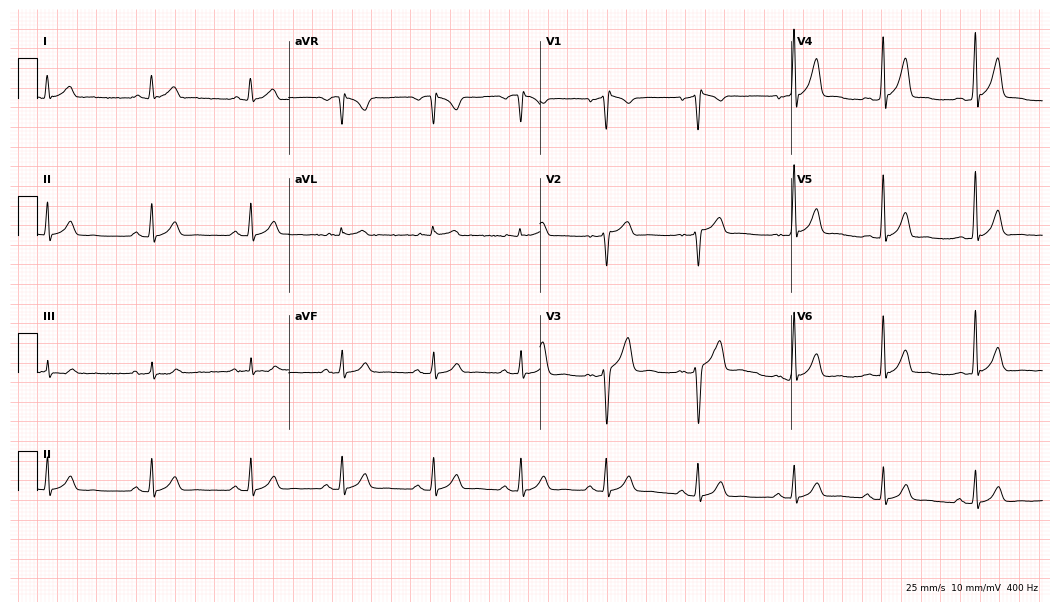
Resting 12-lead electrocardiogram. Patient: a 38-year-old male. None of these six findings is recorded: first-degree AV block, right bundle branch block, left bundle branch block, sinus bradycardia, atrial fibrillation, sinus tachycardia.